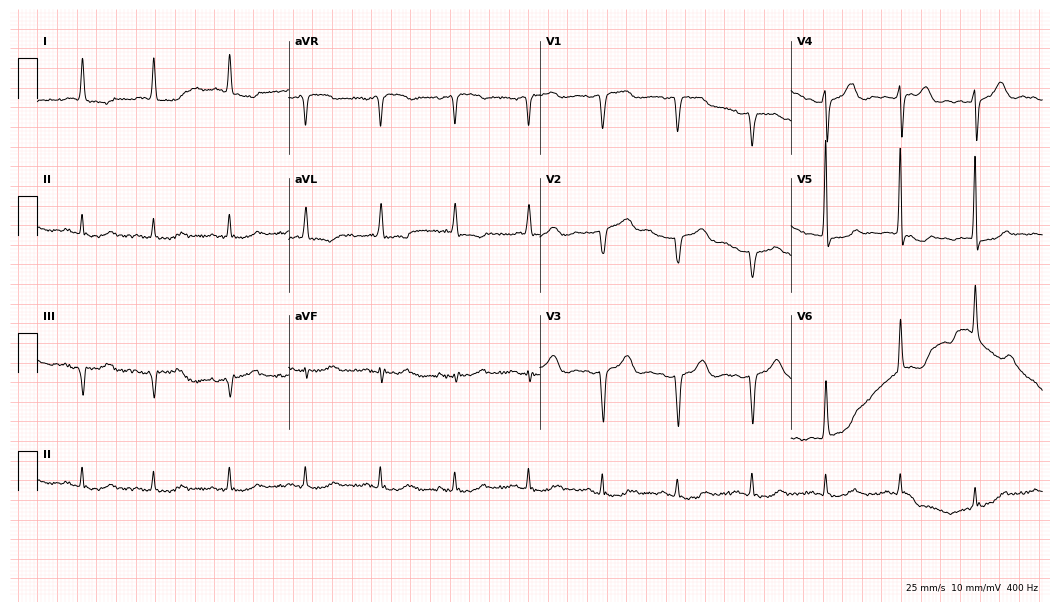
ECG — a 77-year-old female patient. Labelled as a normal ECG.